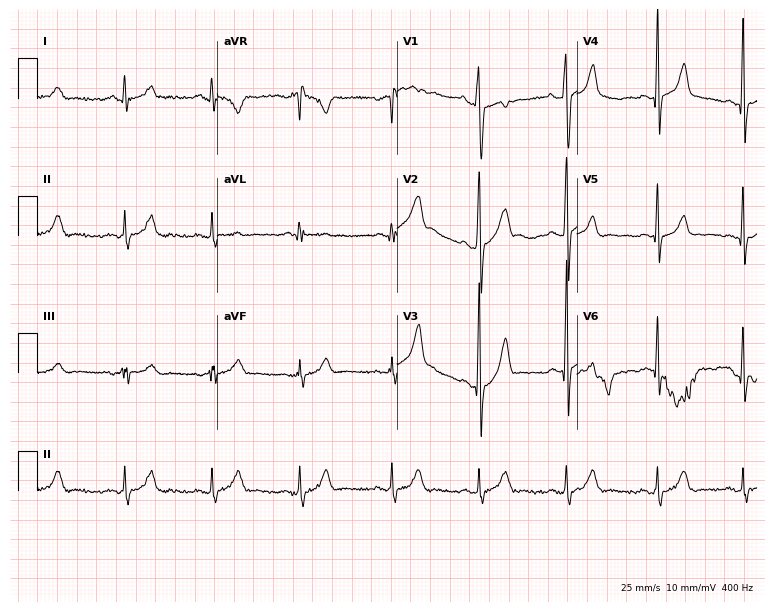
12-lead ECG (7.3-second recording at 400 Hz) from a 24-year-old man. Labelled as a normal ECG.